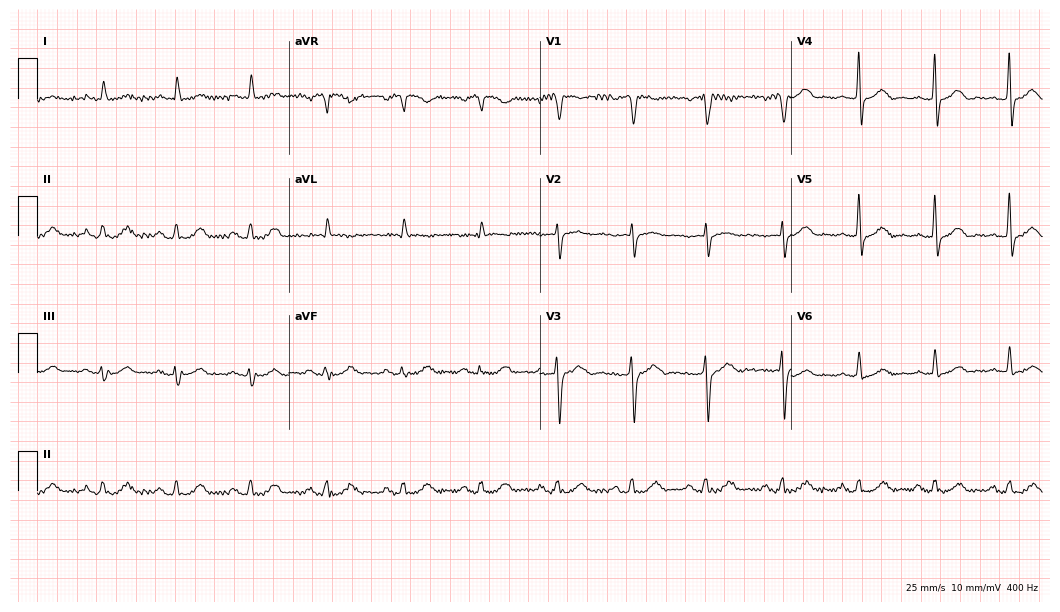
ECG — an 83-year-old man. Screened for six findings — first-degree AV block, right bundle branch block, left bundle branch block, sinus bradycardia, atrial fibrillation, sinus tachycardia — none is recorded. Other findings, if any, are not listed.